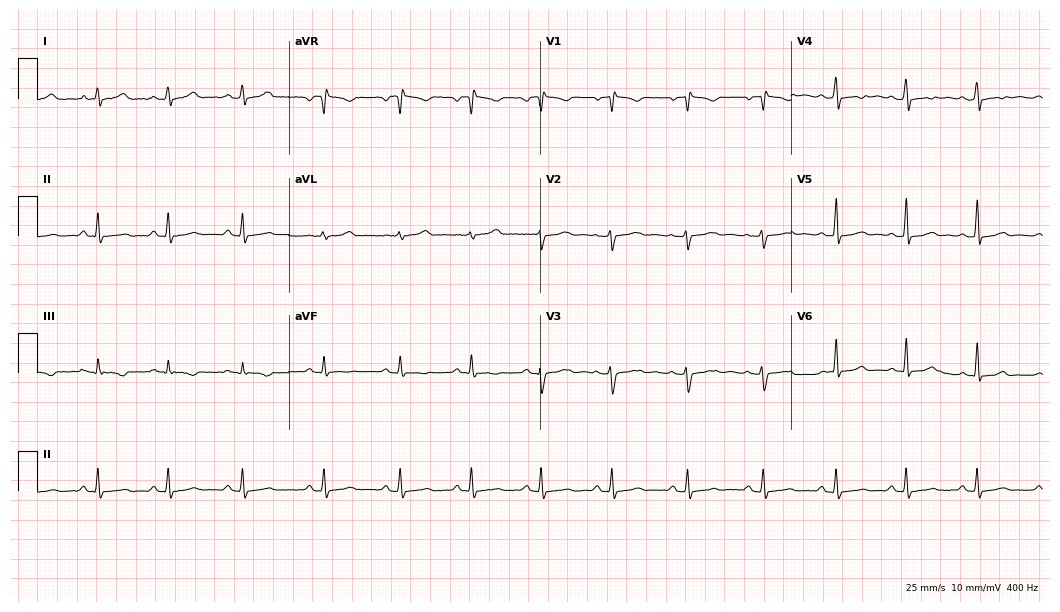
ECG — a 17-year-old woman. Labelled as a normal ECG.